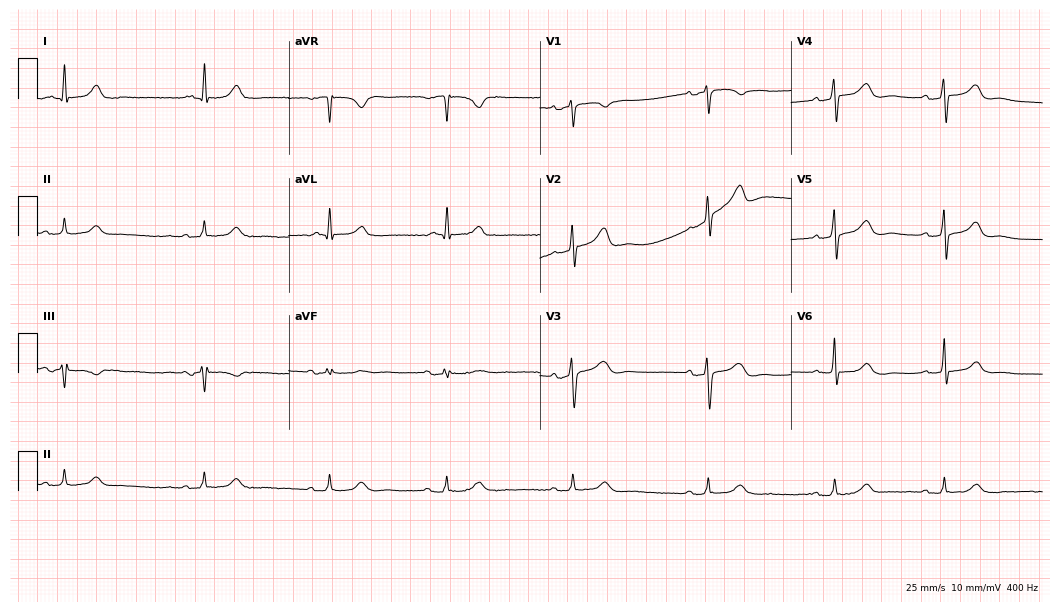
12-lead ECG from a 75-year-old woman. Shows sinus bradycardia (a sinus rate of 50 beats per minute or less).